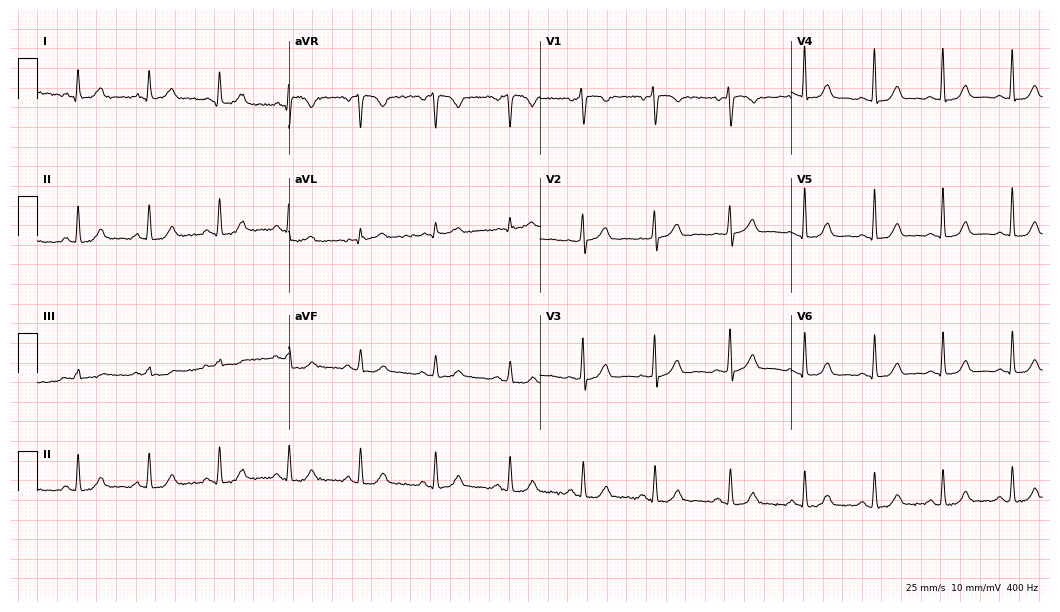
Standard 12-lead ECG recorded from a 50-year-old female. Read as a normal ECG.